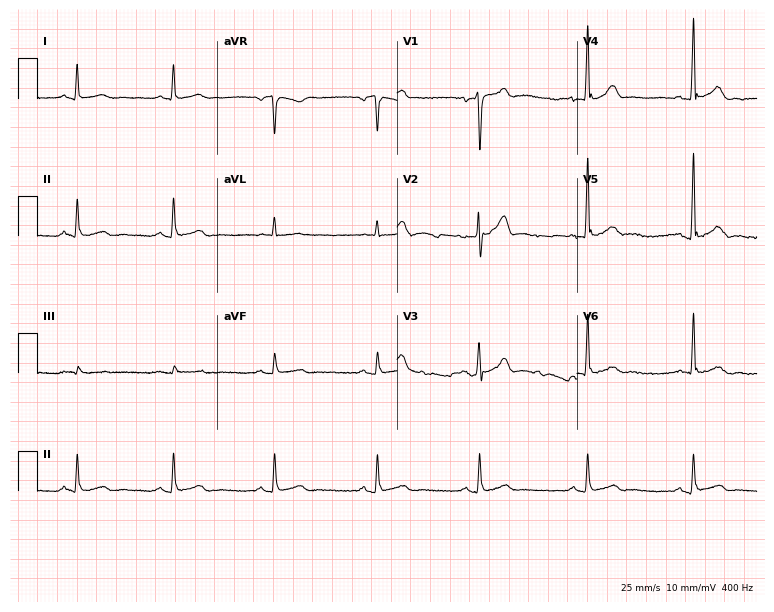
Electrocardiogram, a 29-year-old male patient. Overall reading on record: normal ECG.